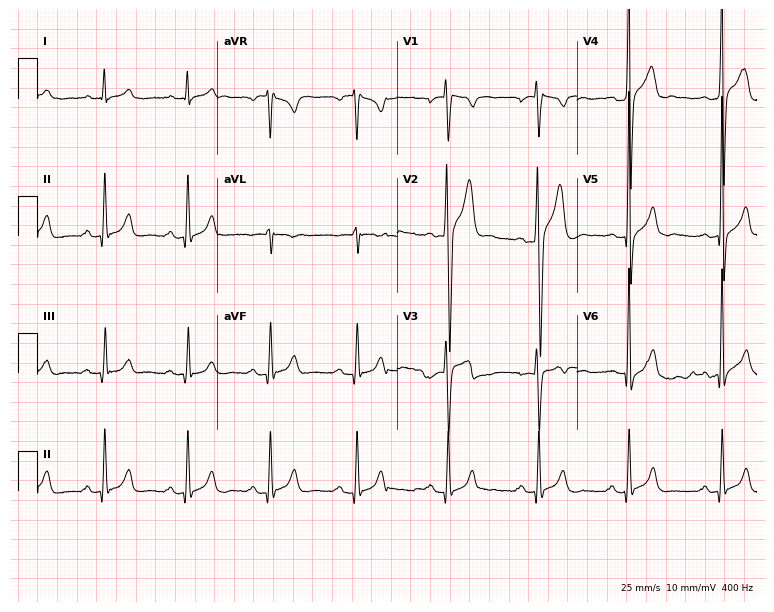
Resting 12-lead electrocardiogram (7.3-second recording at 400 Hz). Patient: a male, 26 years old. Read as a normal ECG.